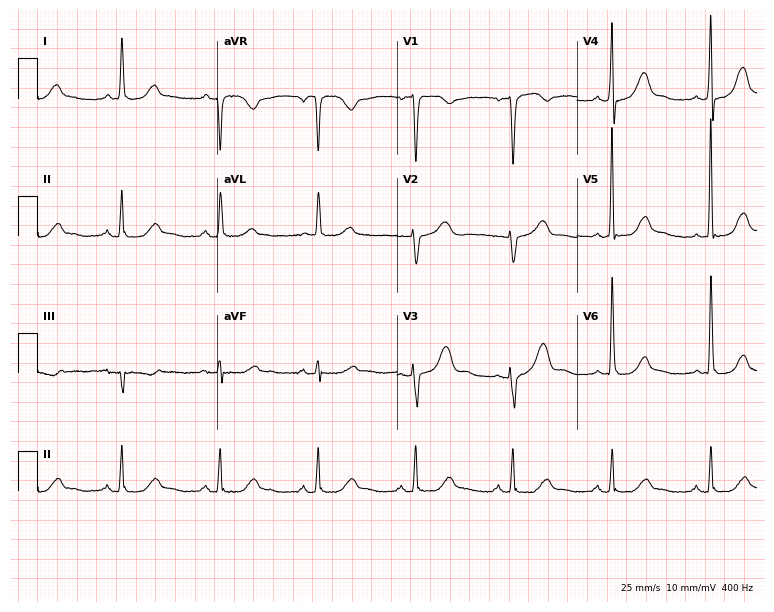
12-lead ECG from a 54-year-old woman (7.3-second recording at 400 Hz). Recorded interpretation: within normal limits.